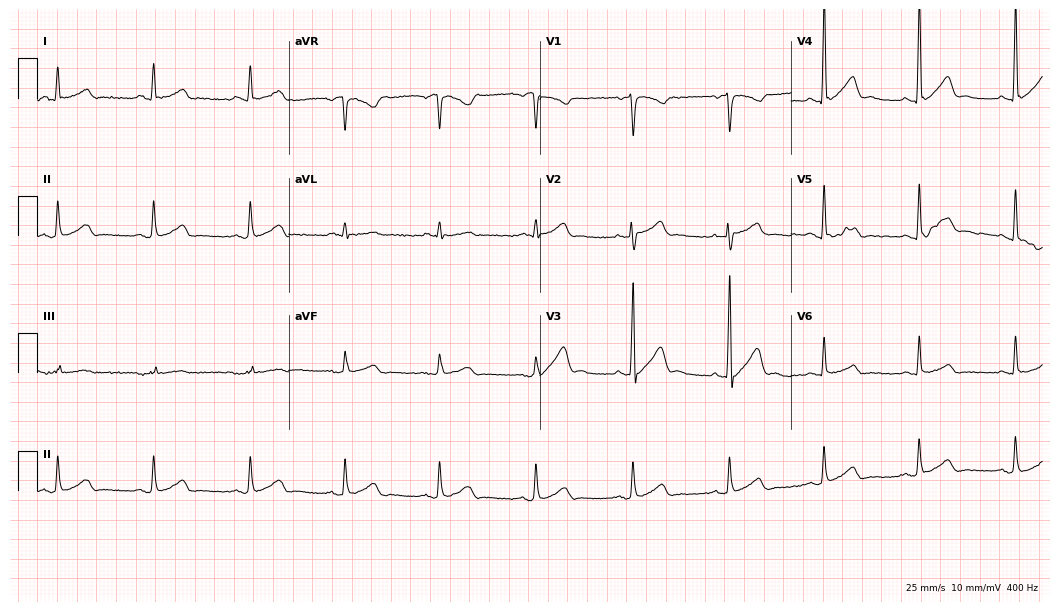
Standard 12-lead ECG recorded from a 42-year-old male (10.2-second recording at 400 Hz). None of these six findings is recorded: first-degree AV block, right bundle branch block, left bundle branch block, sinus bradycardia, atrial fibrillation, sinus tachycardia. Only these six findings were labelled.